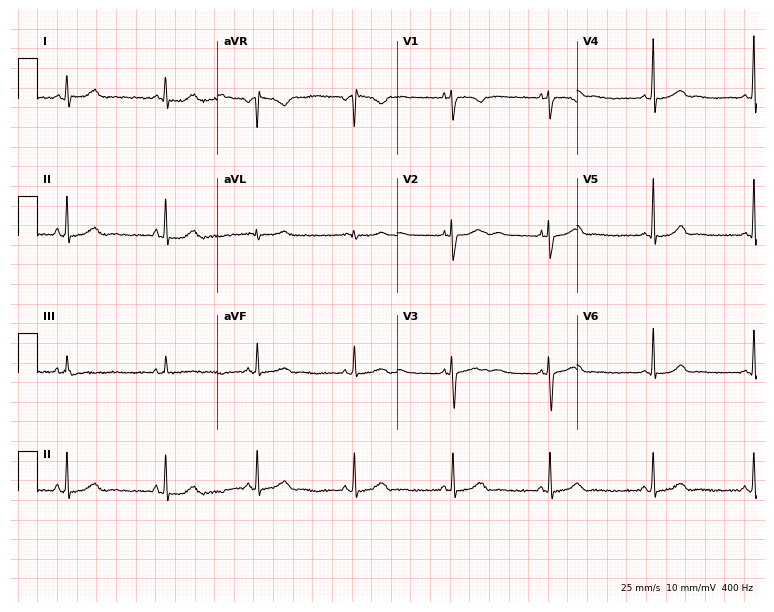
Electrocardiogram, a female, 20 years old. Of the six screened findings (first-degree AV block, right bundle branch block (RBBB), left bundle branch block (LBBB), sinus bradycardia, atrial fibrillation (AF), sinus tachycardia), none is recorded.